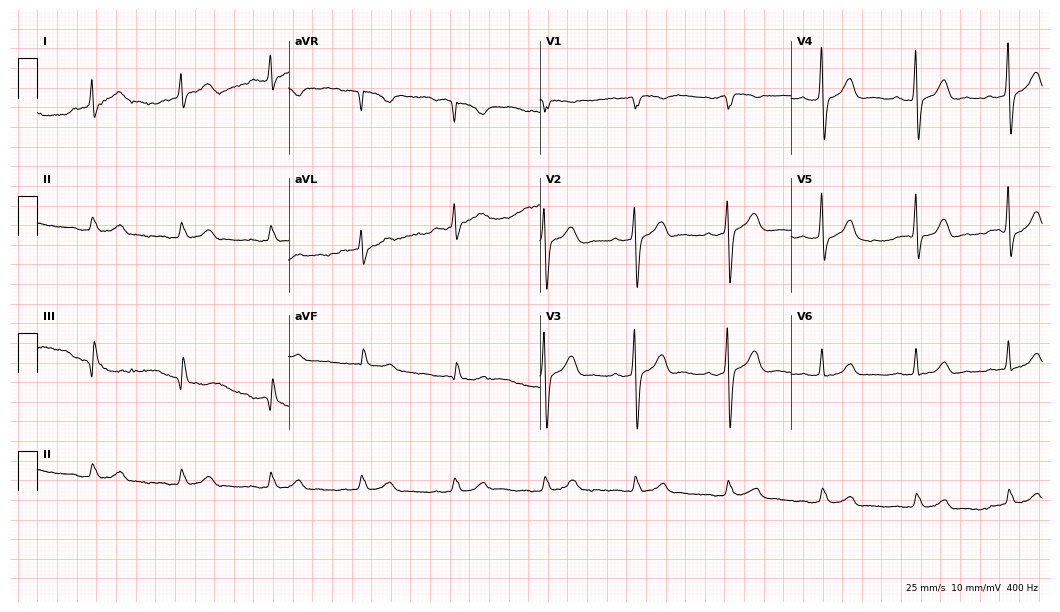
Resting 12-lead electrocardiogram (10.2-second recording at 400 Hz). Patient: a male, 69 years old. None of these six findings is recorded: first-degree AV block, right bundle branch block, left bundle branch block, sinus bradycardia, atrial fibrillation, sinus tachycardia.